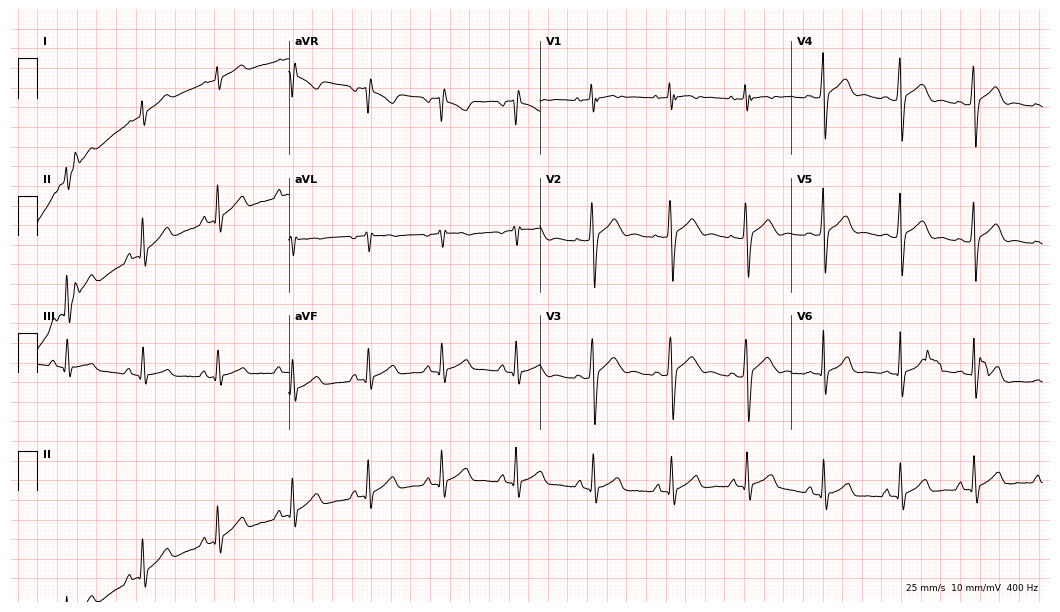
Electrocardiogram (10.2-second recording at 400 Hz), a 17-year-old male patient. Overall reading on record: normal ECG.